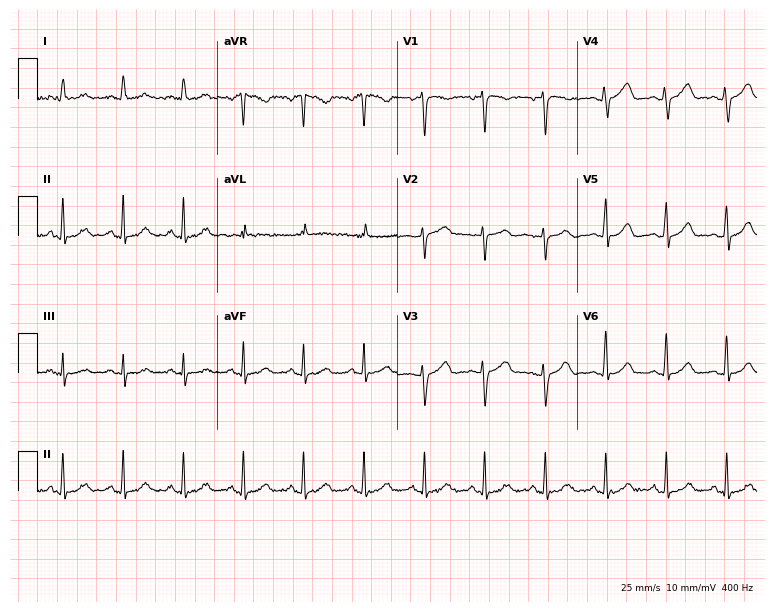
Electrocardiogram (7.3-second recording at 400 Hz), a 52-year-old woman. Overall reading on record: normal ECG.